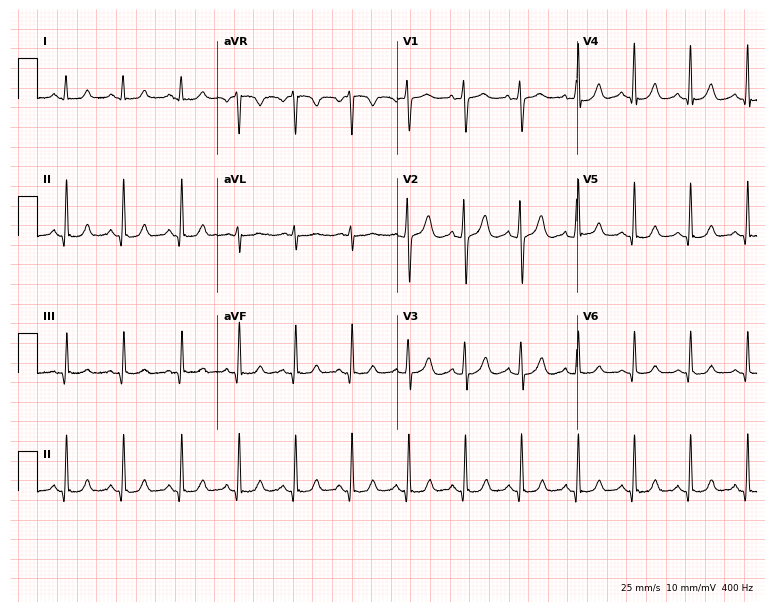
ECG — a 38-year-old woman. Findings include sinus tachycardia (a sinus rate of 100 beats per minute or more).